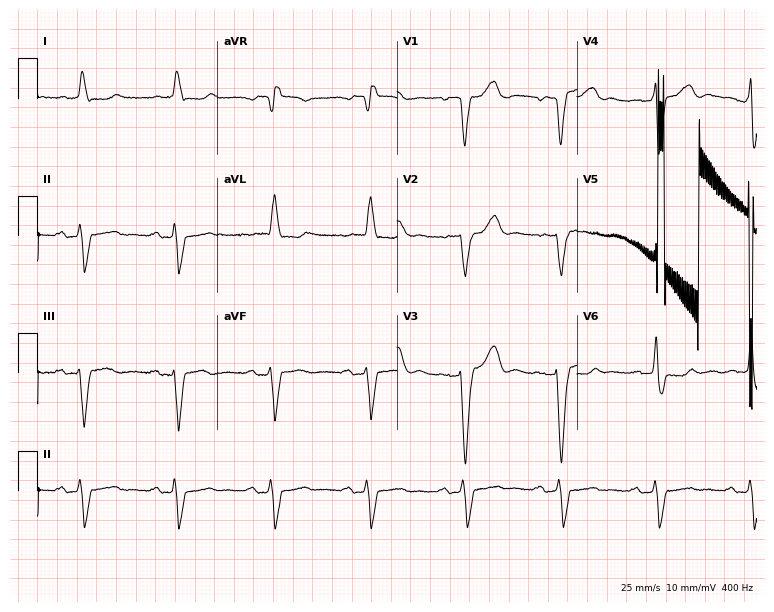
Resting 12-lead electrocardiogram (7.3-second recording at 400 Hz). Patient: a 72-year-old female. The tracing shows first-degree AV block, left bundle branch block.